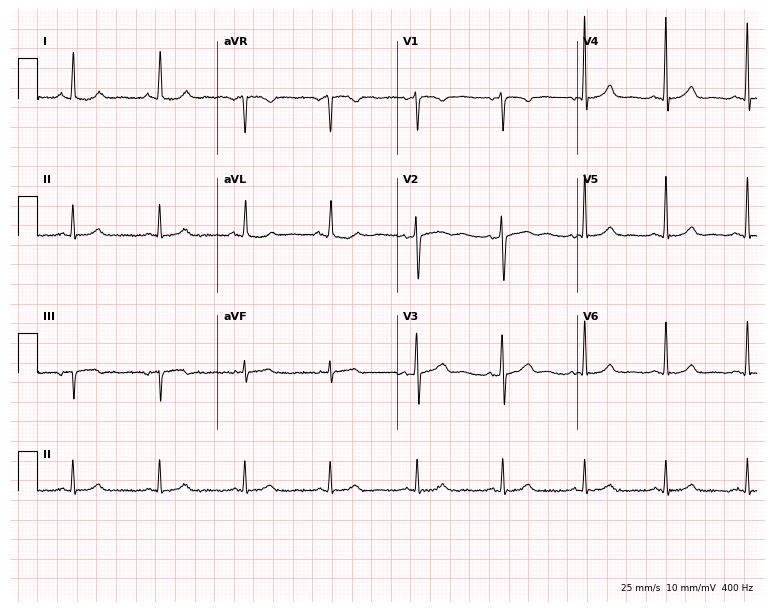
ECG (7.3-second recording at 400 Hz) — a woman, 64 years old. Labelled as a normal ECG.